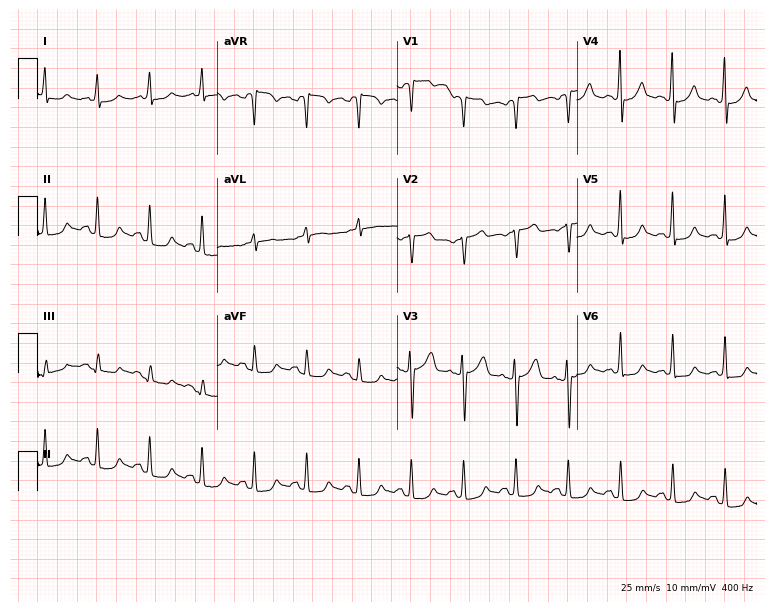
Standard 12-lead ECG recorded from a 70-year-old female. The tracing shows sinus tachycardia (a sinus rate of 100 beats per minute or more).